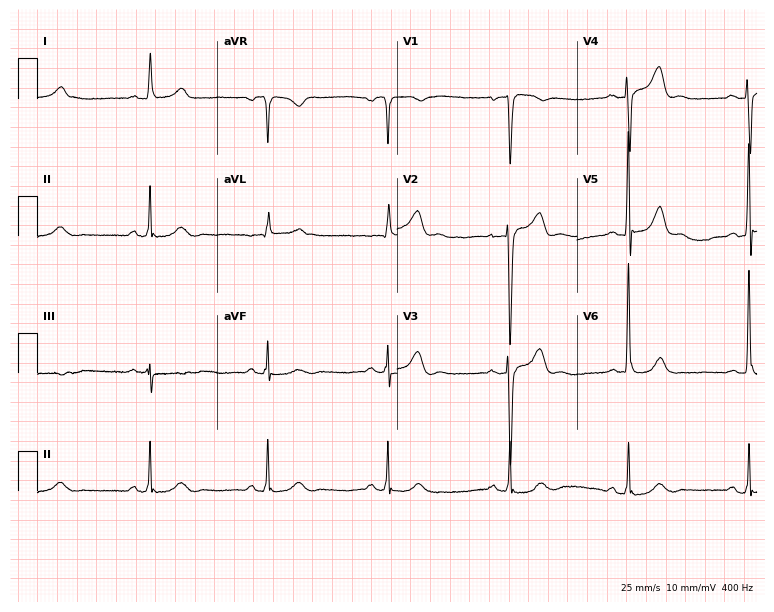
12-lead ECG (7.3-second recording at 400 Hz) from a male patient, 60 years old. Screened for six findings — first-degree AV block, right bundle branch block, left bundle branch block, sinus bradycardia, atrial fibrillation, sinus tachycardia — none is recorded.